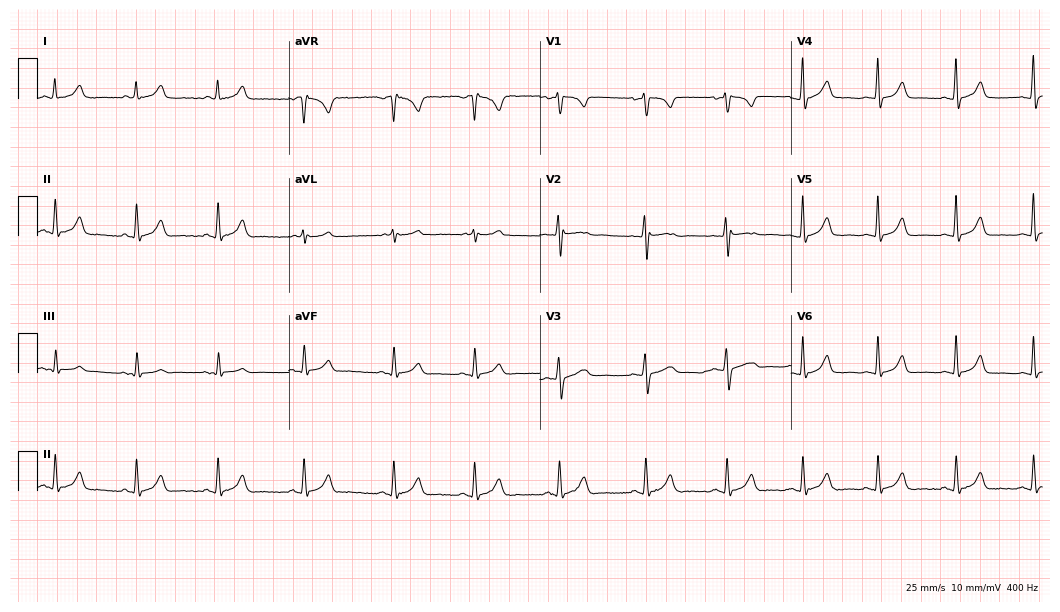
12-lead ECG (10.2-second recording at 400 Hz) from a 27-year-old woman. Labelled as a normal ECG.